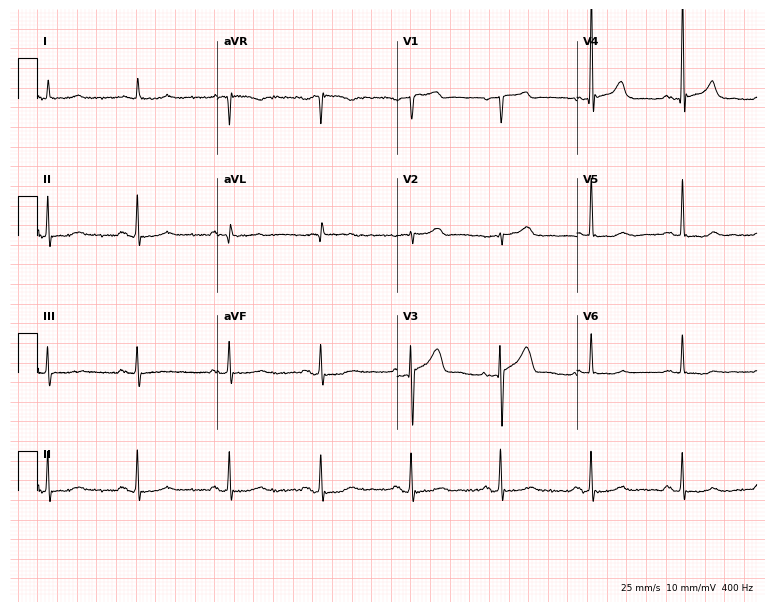
Resting 12-lead electrocardiogram. Patient: a 75-year-old man. Read as a normal ECG.